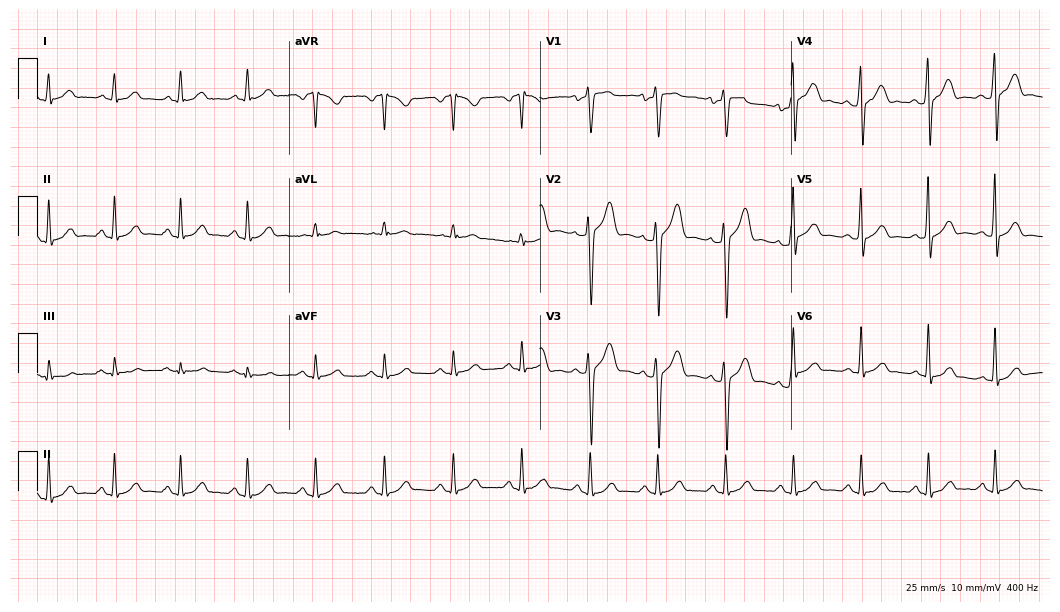
Electrocardiogram (10.2-second recording at 400 Hz), a 41-year-old man. Of the six screened findings (first-degree AV block, right bundle branch block, left bundle branch block, sinus bradycardia, atrial fibrillation, sinus tachycardia), none is recorded.